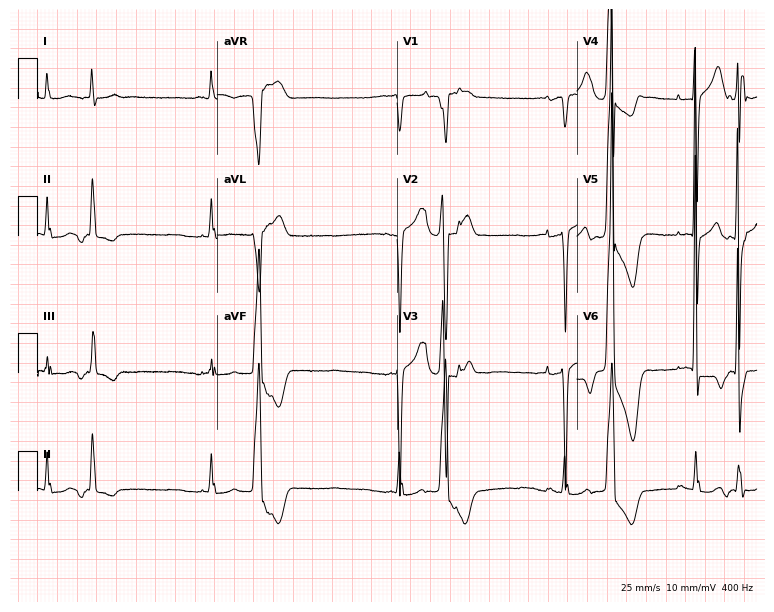
12-lead ECG from an 83-year-old male patient. No first-degree AV block, right bundle branch block (RBBB), left bundle branch block (LBBB), sinus bradycardia, atrial fibrillation (AF) or sinus tachycardia recorded for this tracing.